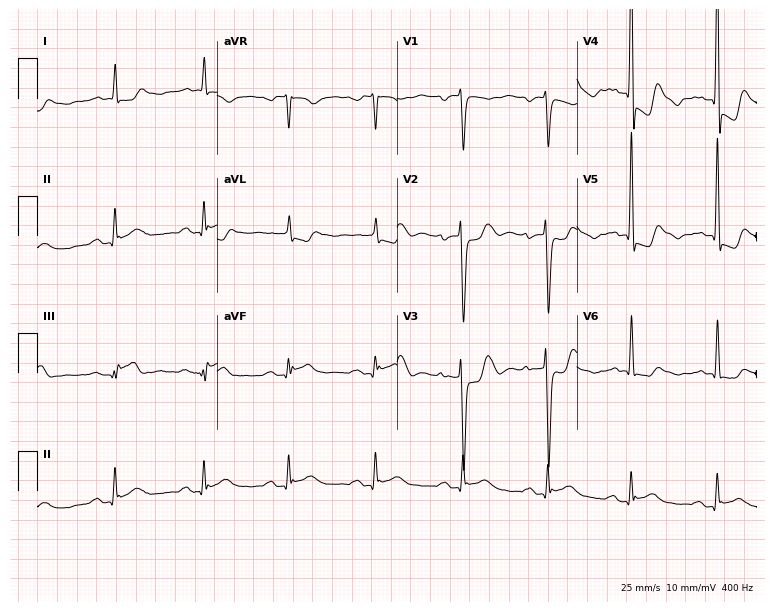
12-lead ECG from a male patient, 78 years old. Screened for six findings — first-degree AV block, right bundle branch block, left bundle branch block, sinus bradycardia, atrial fibrillation, sinus tachycardia — none is recorded. Only these six findings were labelled.